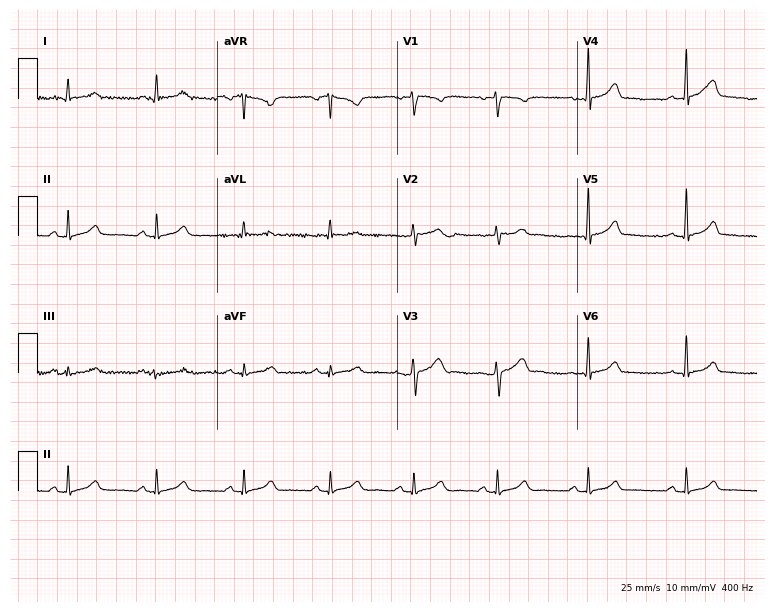
12-lead ECG (7.3-second recording at 400 Hz) from a 33-year-old man. Labelled as a normal ECG.